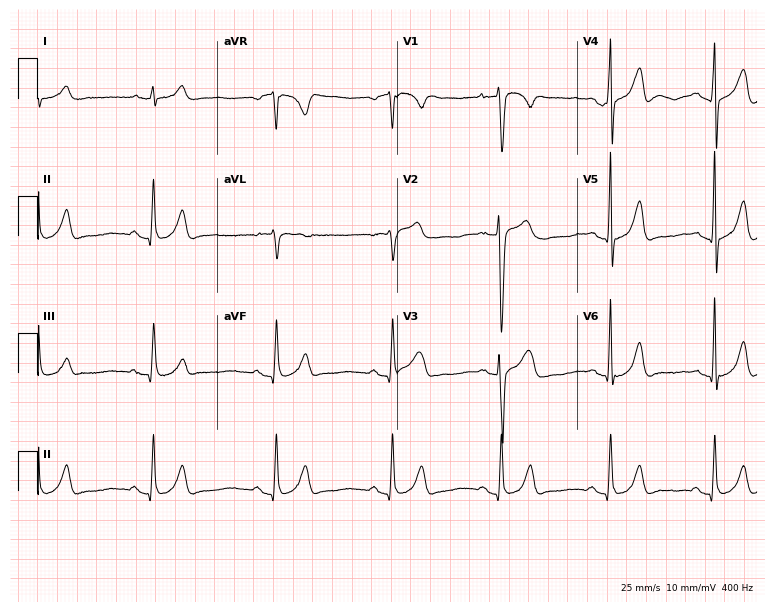
12-lead ECG from a man, 29 years old (7.3-second recording at 400 Hz). Recorded interpretation: within normal limits.